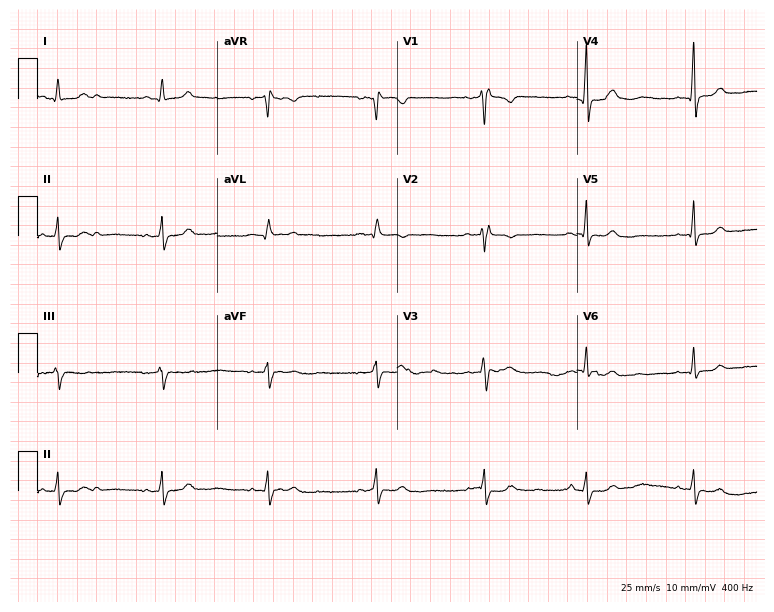
Electrocardiogram (7.3-second recording at 400 Hz), a female patient, 41 years old. Interpretation includes right bundle branch block.